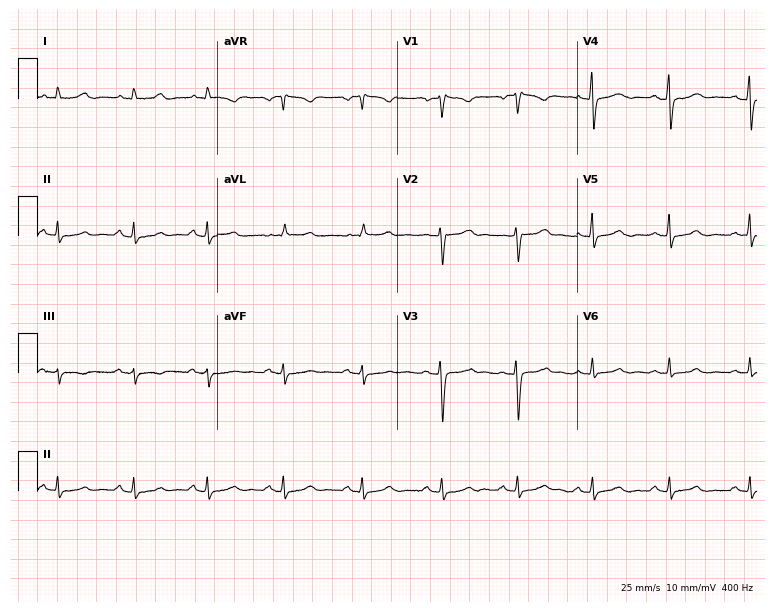
ECG (7.3-second recording at 400 Hz) — a 37-year-old female. Labelled as a normal ECG.